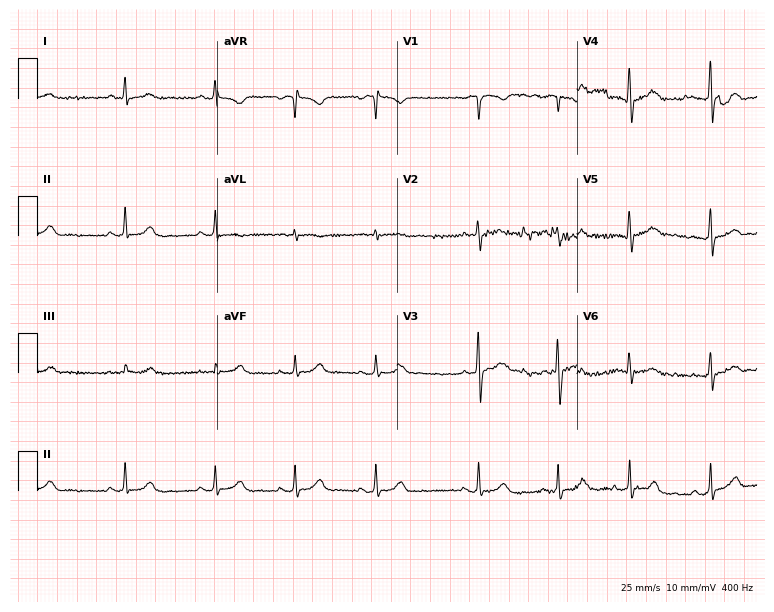
Standard 12-lead ECG recorded from a 27-year-old woman (7.3-second recording at 400 Hz). Read as a normal ECG.